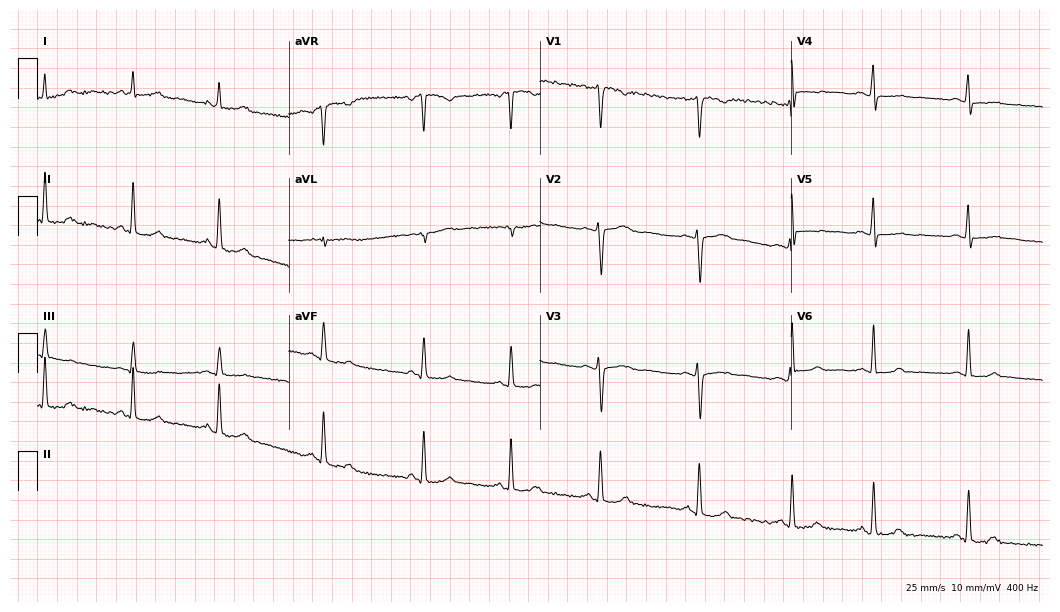
12-lead ECG from a 35-year-old female. Screened for six findings — first-degree AV block, right bundle branch block, left bundle branch block, sinus bradycardia, atrial fibrillation, sinus tachycardia — none is recorded.